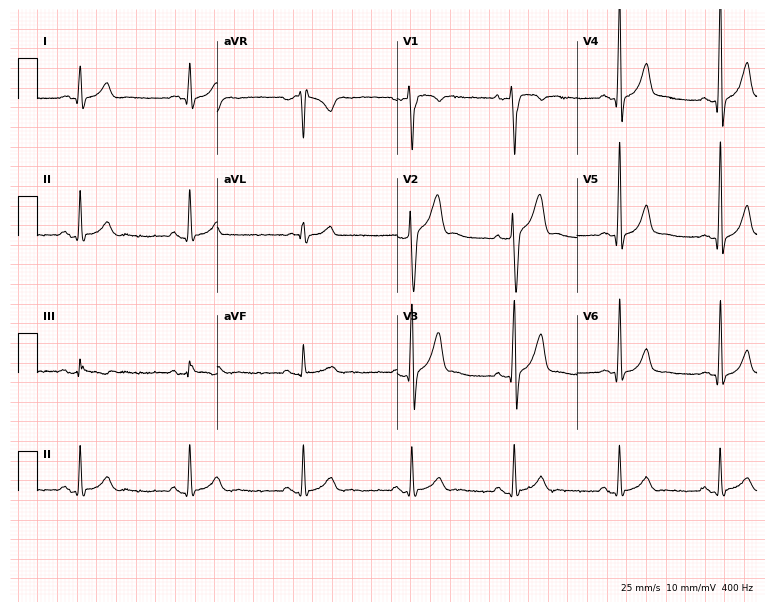
Resting 12-lead electrocardiogram. Patient: a man, 28 years old. None of these six findings is recorded: first-degree AV block, right bundle branch block (RBBB), left bundle branch block (LBBB), sinus bradycardia, atrial fibrillation (AF), sinus tachycardia.